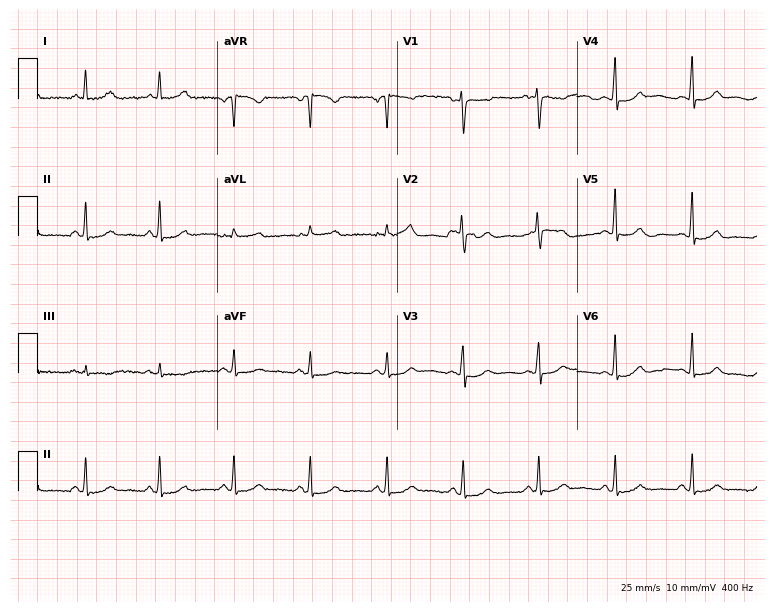
12-lead ECG (7.3-second recording at 400 Hz) from a female patient, 42 years old. Labelled as a normal ECG.